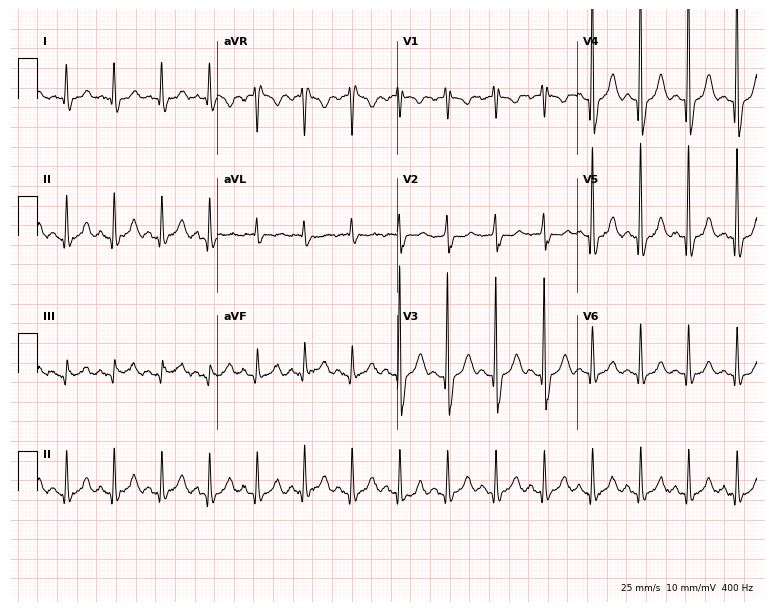
Resting 12-lead electrocardiogram. Patient: a woman, 76 years old. The tracing shows sinus tachycardia (a sinus rate of 100 beats per minute or more).